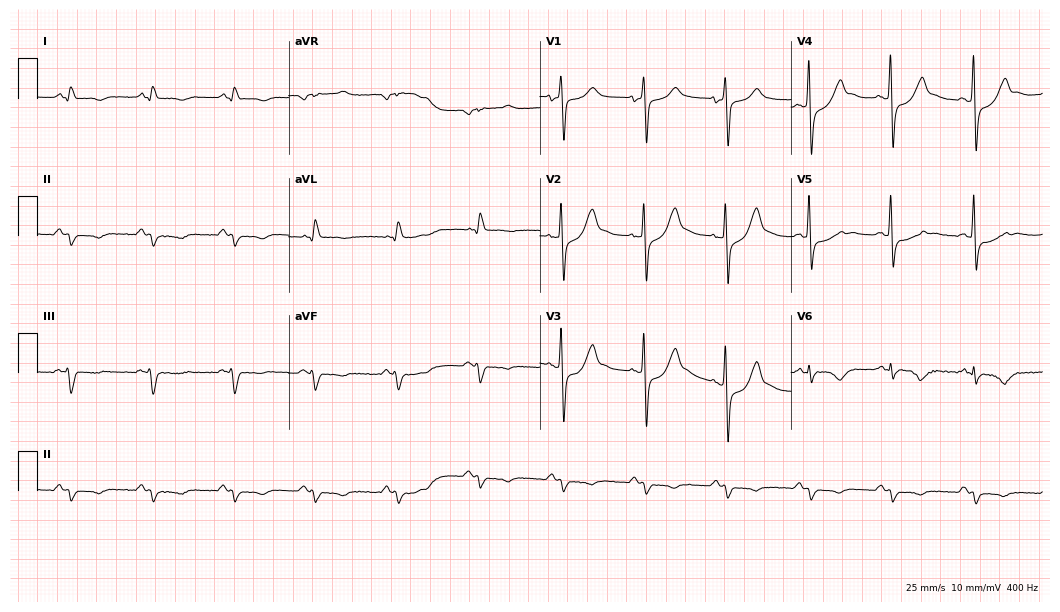
ECG (10.2-second recording at 400 Hz) — an 82-year-old man. Screened for six findings — first-degree AV block, right bundle branch block (RBBB), left bundle branch block (LBBB), sinus bradycardia, atrial fibrillation (AF), sinus tachycardia — none is recorded.